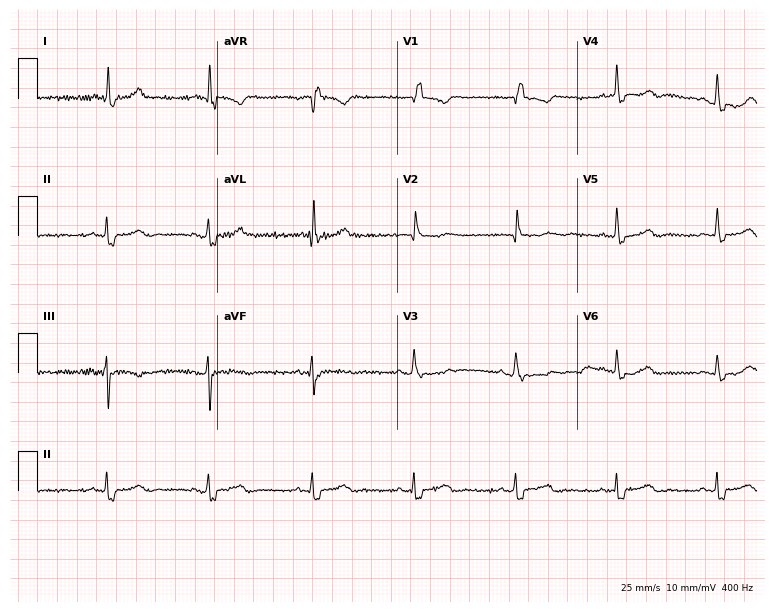
ECG — a 68-year-old woman. Screened for six findings — first-degree AV block, right bundle branch block (RBBB), left bundle branch block (LBBB), sinus bradycardia, atrial fibrillation (AF), sinus tachycardia — none is recorded. Findings outside these six are not listed.